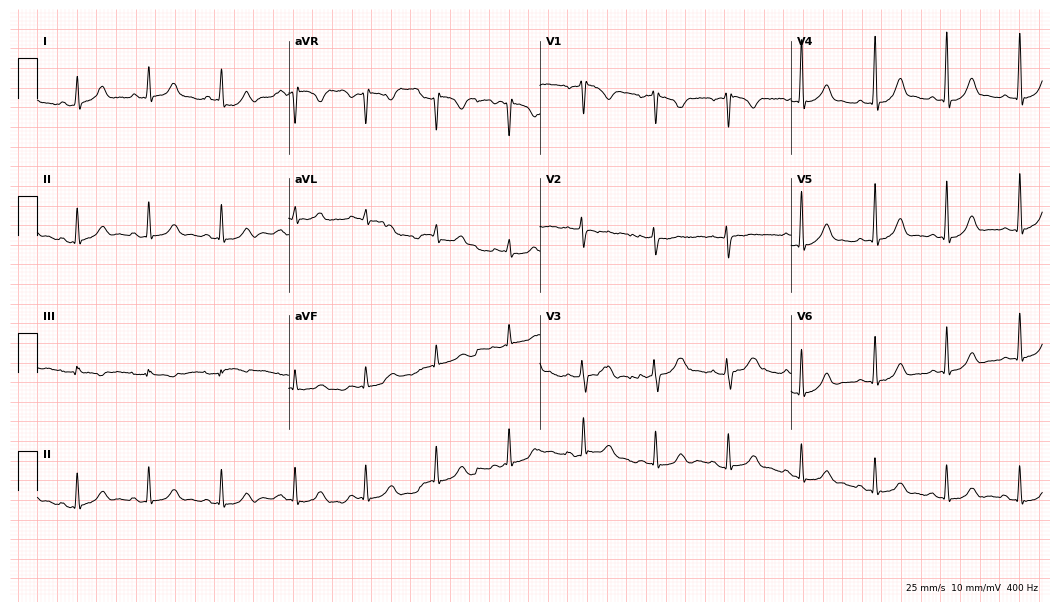
ECG — a 27-year-old female patient. Labelled as a normal ECG.